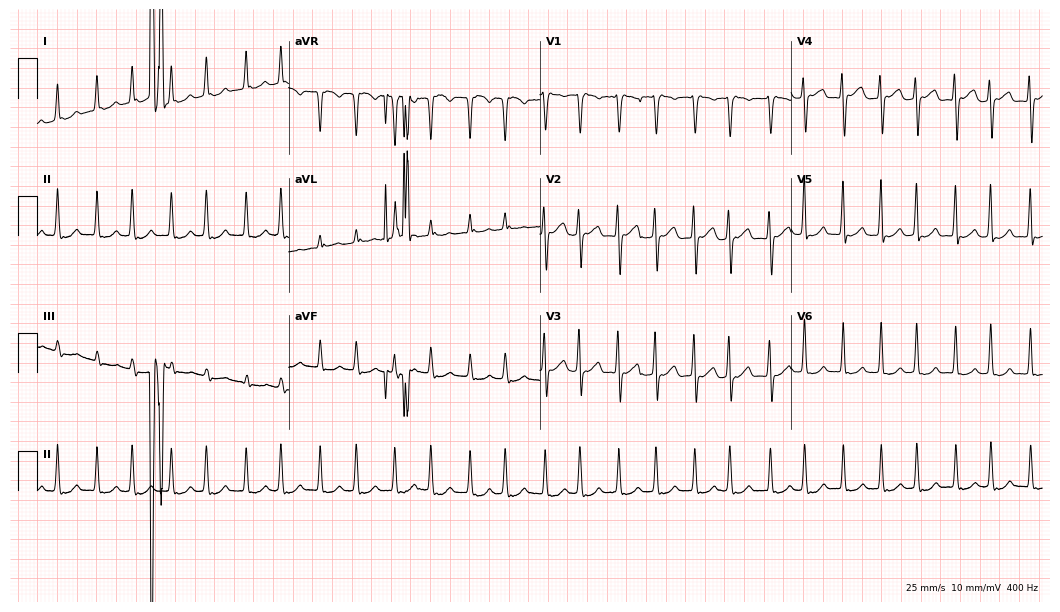
ECG (10.2-second recording at 400 Hz) — a female patient, 41 years old. Findings include atrial fibrillation.